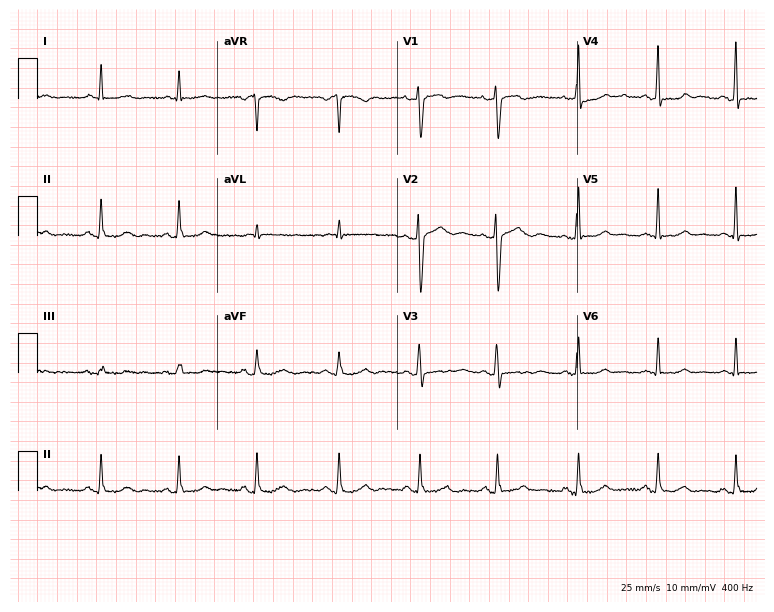
12-lead ECG from a female, 39 years old. No first-degree AV block, right bundle branch block (RBBB), left bundle branch block (LBBB), sinus bradycardia, atrial fibrillation (AF) or sinus tachycardia recorded for this tracing.